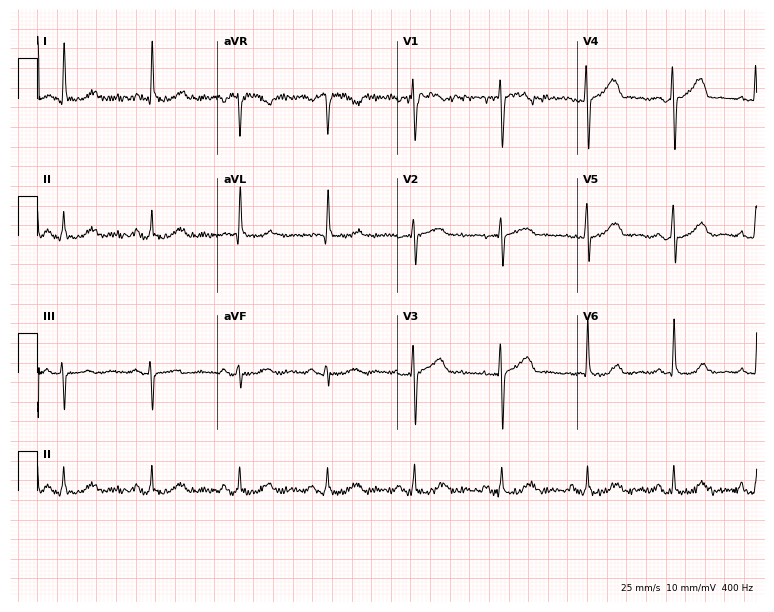
ECG — a female, 59 years old. Labelled as a normal ECG.